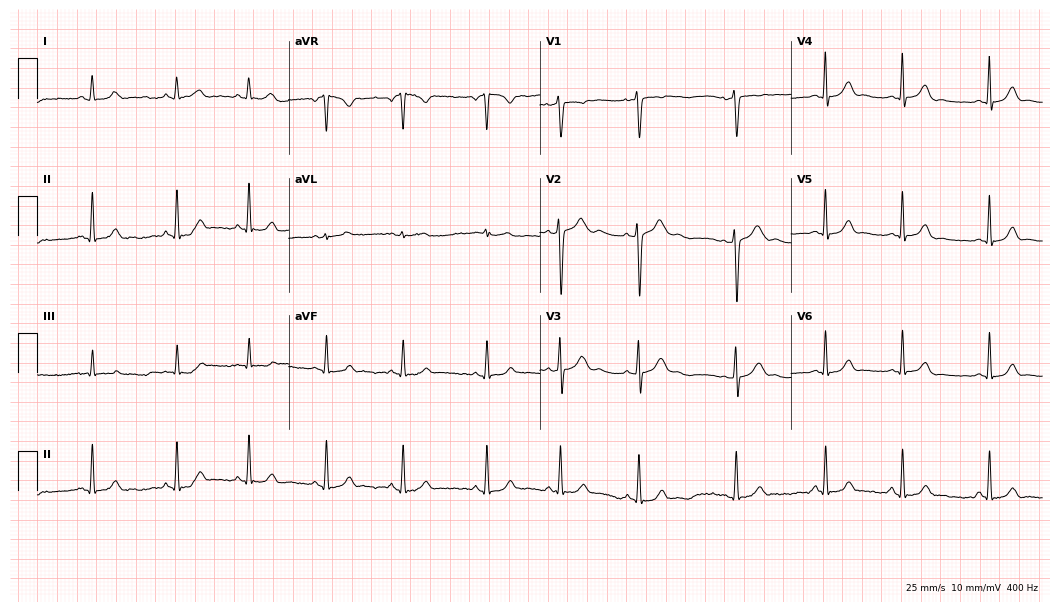
12-lead ECG (10.2-second recording at 400 Hz) from a 19-year-old female patient. Labelled as a normal ECG.